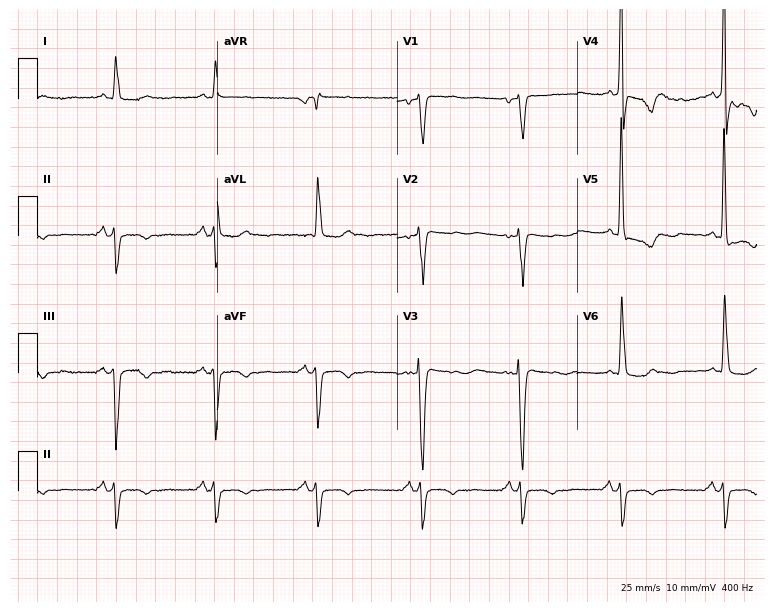
12-lead ECG from a male, 78 years old. No first-degree AV block, right bundle branch block, left bundle branch block, sinus bradycardia, atrial fibrillation or sinus tachycardia recorded for this tracing. Only these six findings were labelled.